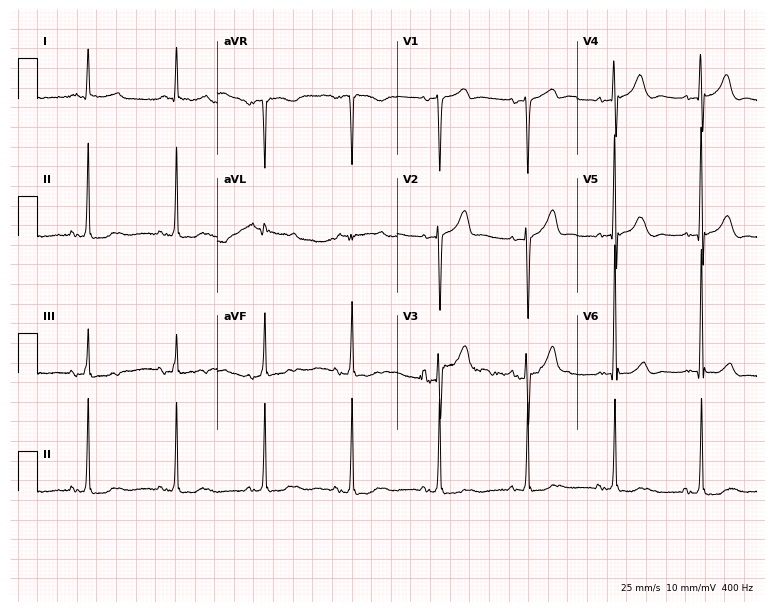
12-lead ECG from a 64-year-old male. Screened for six findings — first-degree AV block, right bundle branch block (RBBB), left bundle branch block (LBBB), sinus bradycardia, atrial fibrillation (AF), sinus tachycardia — none is recorded.